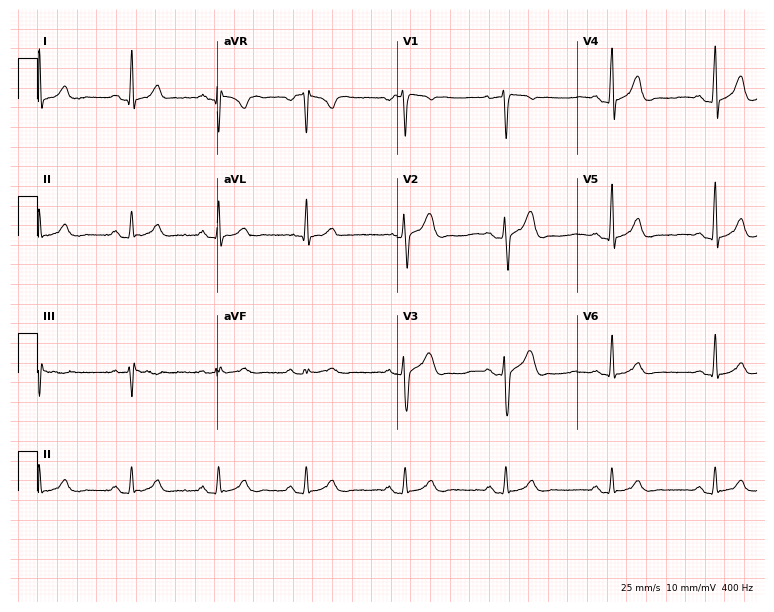
12-lead ECG from a male, 41 years old. Recorded interpretation: within normal limits.